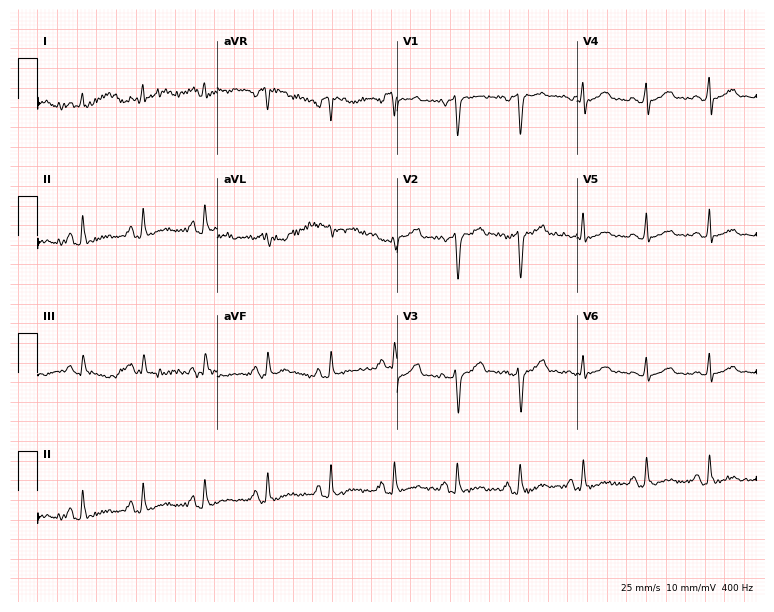
ECG — a 55-year-old female patient. Screened for six findings — first-degree AV block, right bundle branch block, left bundle branch block, sinus bradycardia, atrial fibrillation, sinus tachycardia — none is recorded.